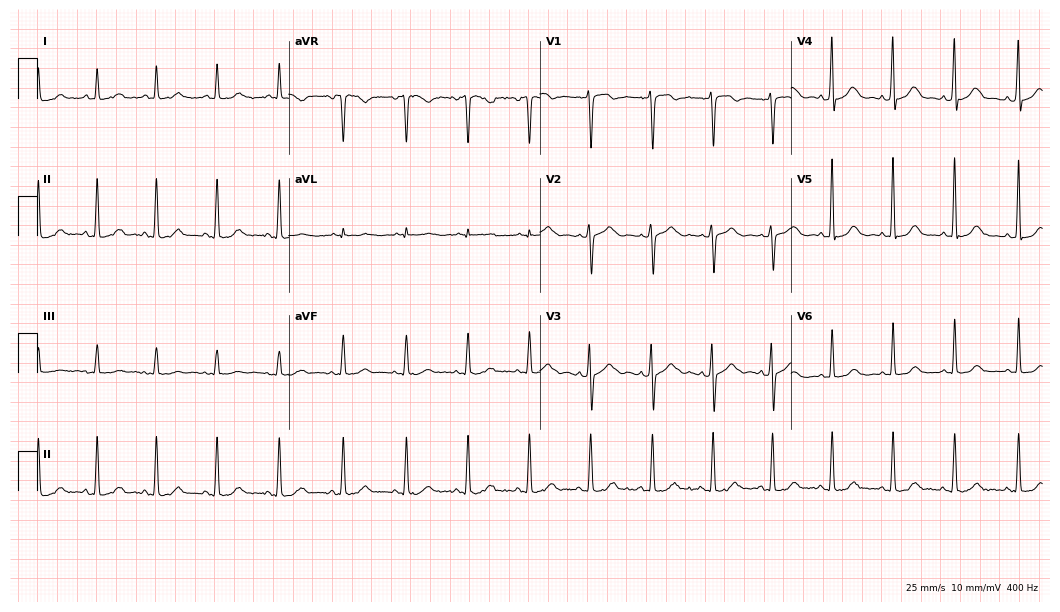
Resting 12-lead electrocardiogram. Patient: a 47-year-old female. None of these six findings is recorded: first-degree AV block, right bundle branch block (RBBB), left bundle branch block (LBBB), sinus bradycardia, atrial fibrillation (AF), sinus tachycardia.